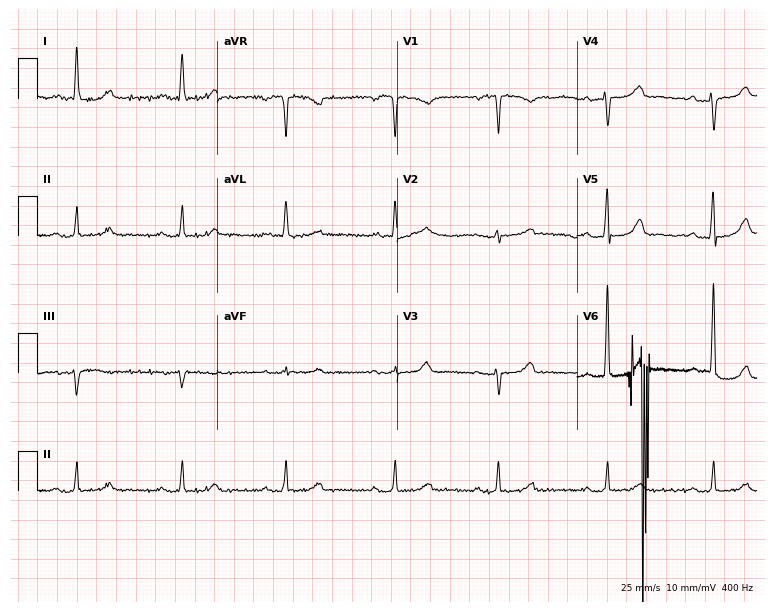
12-lead ECG from a male patient, 74 years old (7.3-second recording at 400 Hz). No first-degree AV block, right bundle branch block, left bundle branch block, sinus bradycardia, atrial fibrillation or sinus tachycardia recorded for this tracing.